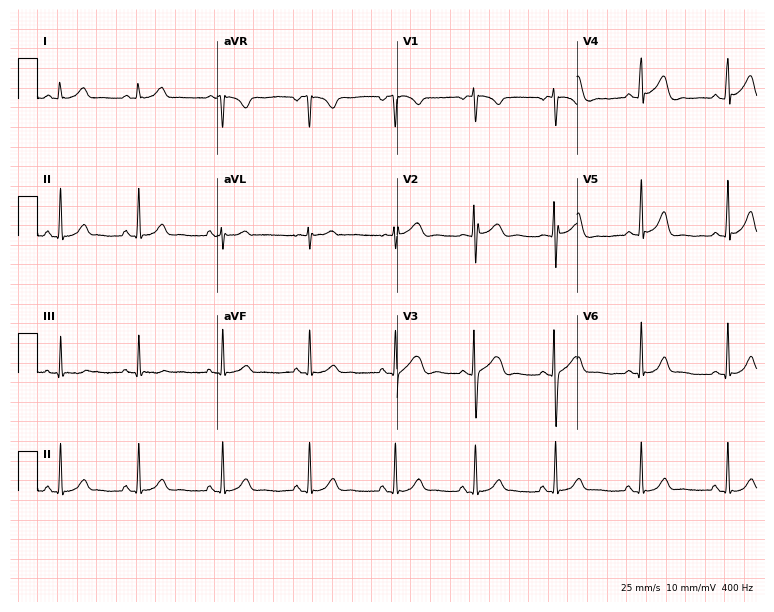
12-lead ECG from a 24-year-old female. Screened for six findings — first-degree AV block, right bundle branch block (RBBB), left bundle branch block (LBBB), sinus bradycardia, atrial fibrillation (AF), sinus tachycardia — none is recorded.